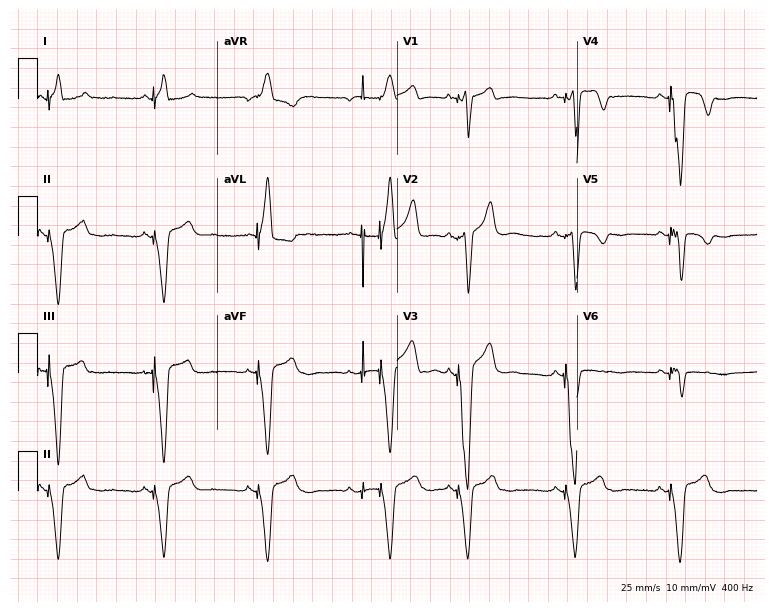
Electrocardiogram (7.3-second recording at 400 Hz), a 32-year-old male. Of the six screened findings (first-degree AV block, right bundle branch block (RBBB), left bundle branch block (LBBB), sinus bradycardia, atrial fibrillation (AF), sinus tachycardia), none is recorded. Other findings, if any, are not listed.